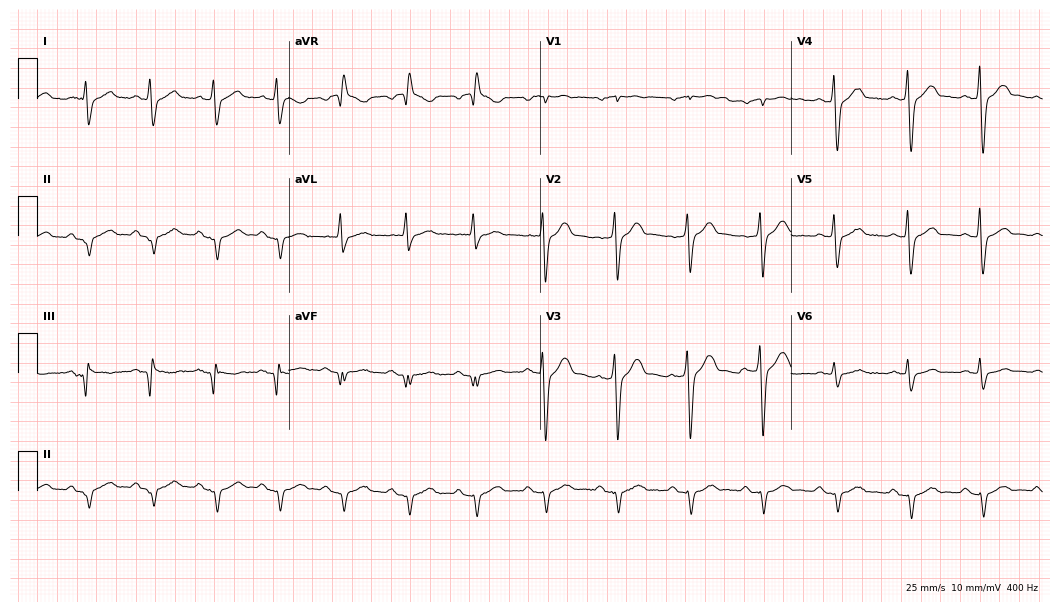
Electrocardiogram, a 54-year-old male. Of the six screened findings (first-degree AV block, right bundle branch block (RBBB), left bundle branch block (LBBB), sinus bradycardia, atrial fibrillation (AF), sinus tachycardia), none is recorded.